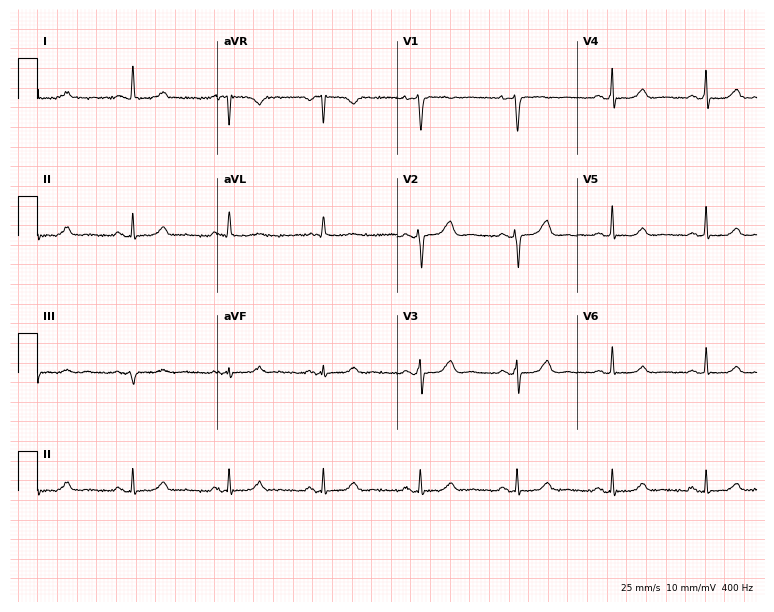
12-lead ECG from a 63-year-old woman. Recorded interpretation: within normal limits.